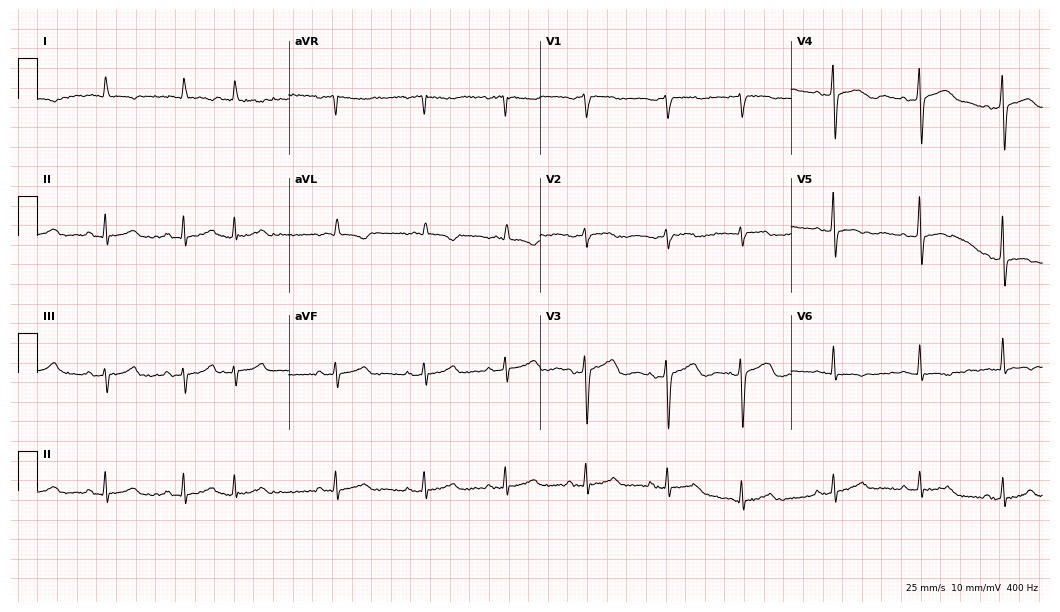
12-lead ECG from a female patient, 66 years old (10.2-second recording at 400 Hz). No first-degree AV block, right bundle branch block (RBBB), left bundle branch block (LBBB), sinus bradycardia, atrial fibrillation (AF) or sinus tachycardia recorded for this tracing.